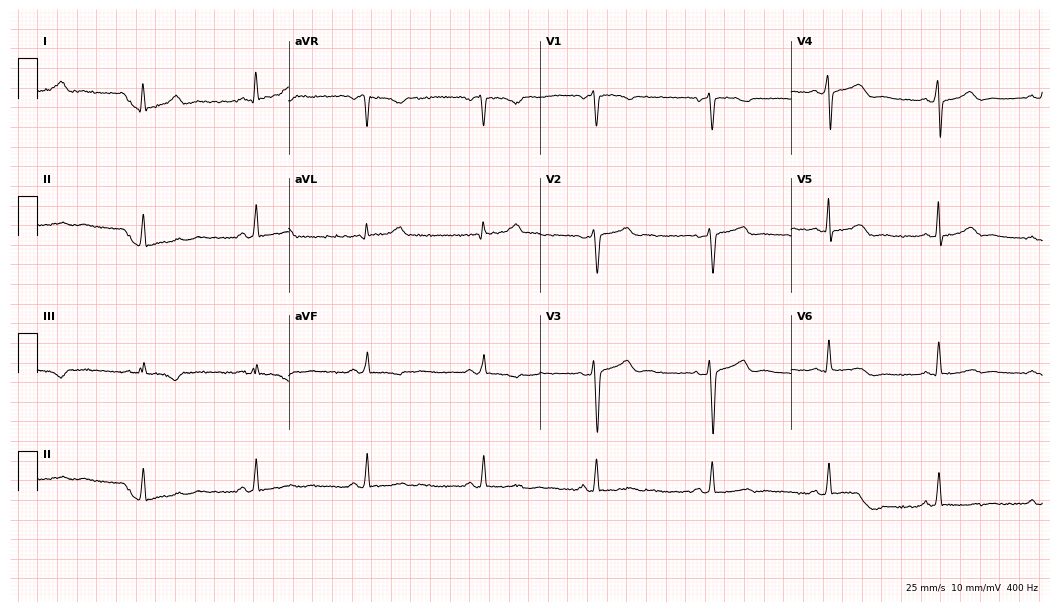
ECG (10.2-second recording at 400 Hz) — a 39-year-old female. Labelled as a normal ECG.